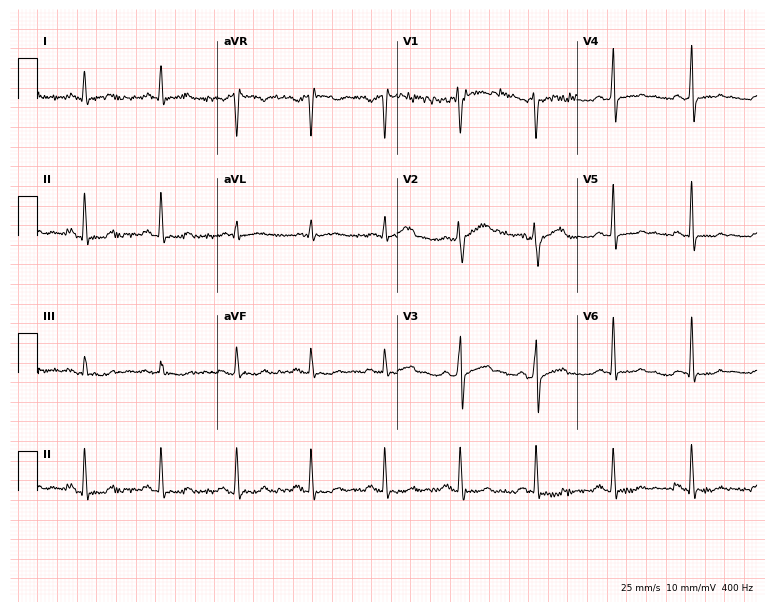
ECG (7.3-second recording at 400 Hz) — a 55-year-old male patient. Labelled as a normal ECG.